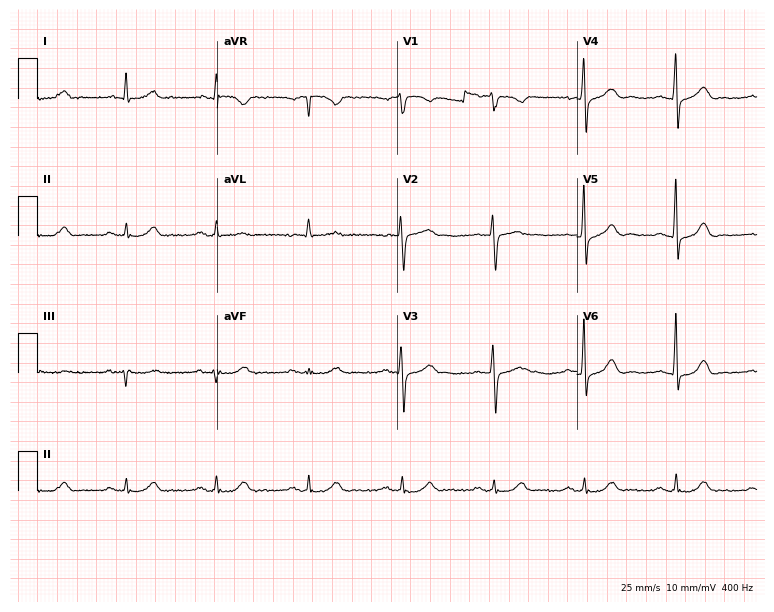
Standard 12-lead ECG recorded from a male patient, 67 years old (7.3-second recording at 400 Hz). Read as a normal ECG.